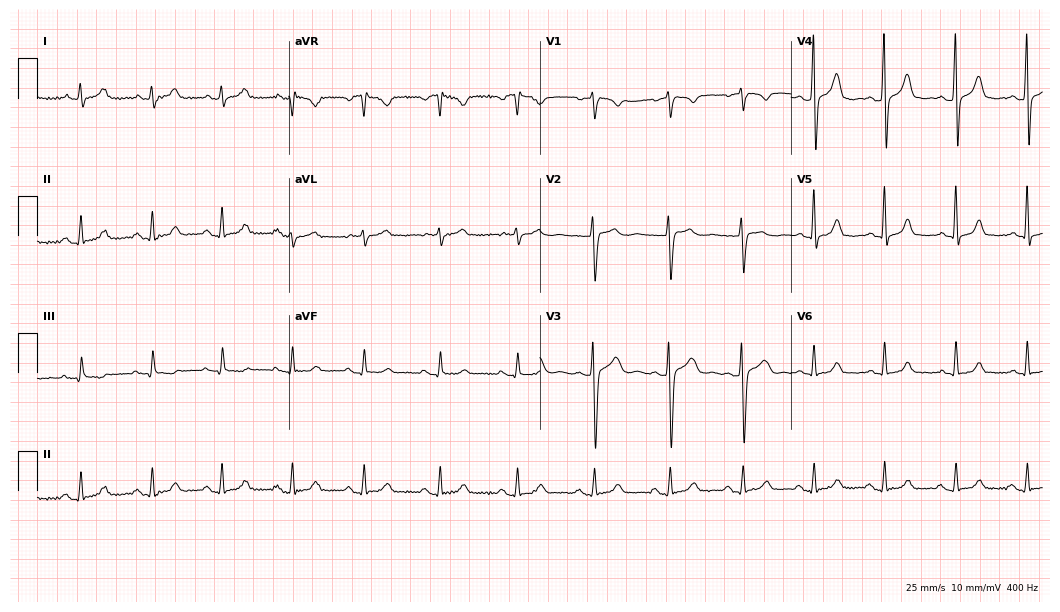
Standard 12-lead ECG recorded from a female, 37 years old (10.2-second recording at 400 Hz). Read as a normal ECG.